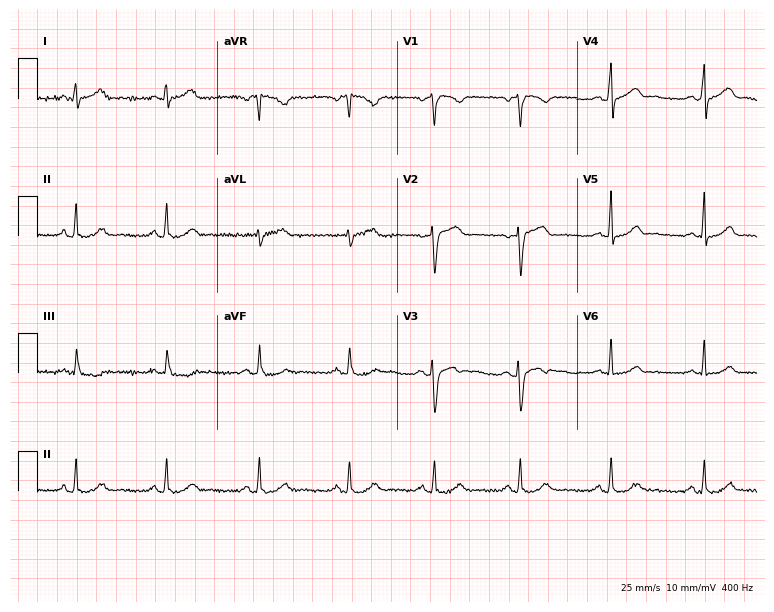
Standard 12-lead ECG recorded from a man, 41 years old (7.3-second recording at 400 Hz). Read as a normal ECG.